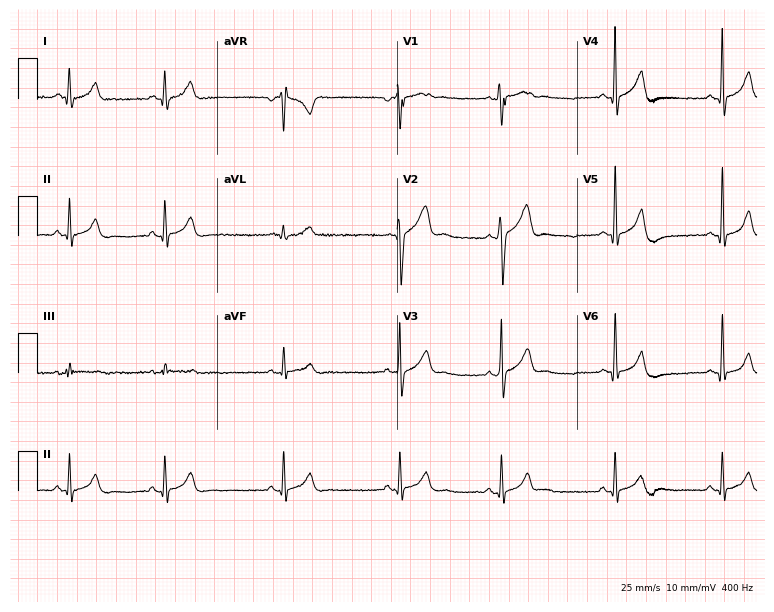
12-lead ECG from a male patient, 20 years old. Screened for six findings — first-degree AV block, right bundle branch block, left bundle branch block, sinus bradycardia, atrial fibrillation, sinus tachycardia — none is recorded.